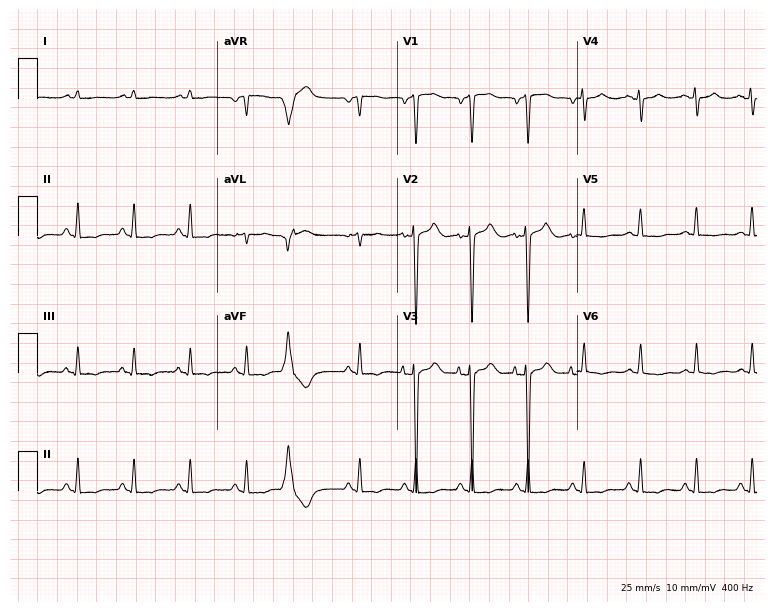
Standard 12-lead ECG recorded from an 82-year-old female patient. The tracing shows sinus tachycardia (a sinus rate of 100 beats per minute or more).